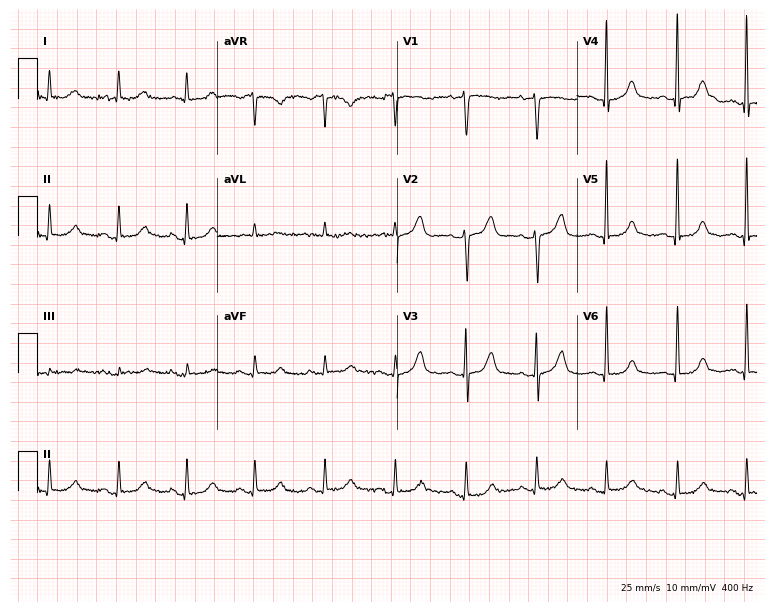
ECG — a female, 72 years old. Labelled as a normal ECG.